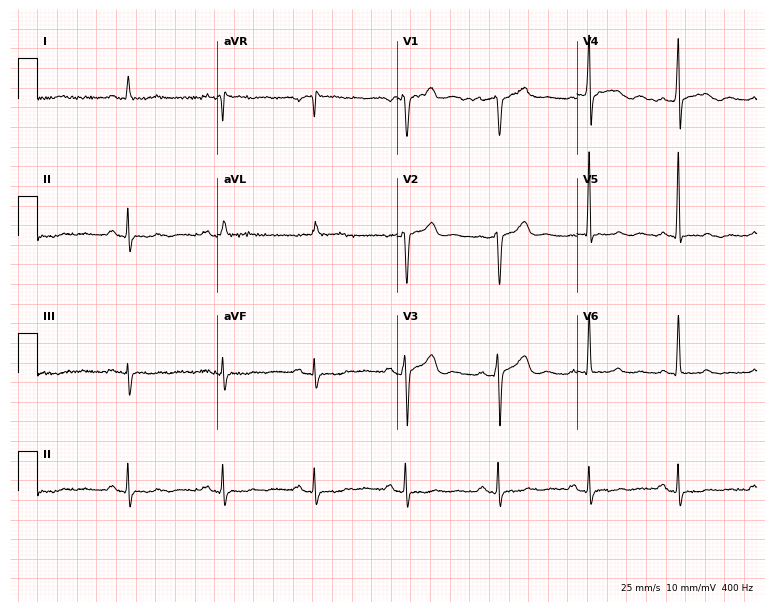
Electrocardiogram (7.3-second recording at 400 Hz), a 66-year-old male patient. Of the six screened findings (first-degree AV block, right bundle branch block, left bundle branch block, sinus bradycardia, atrial fibrillation, sinus tachycardia), none is recorded.